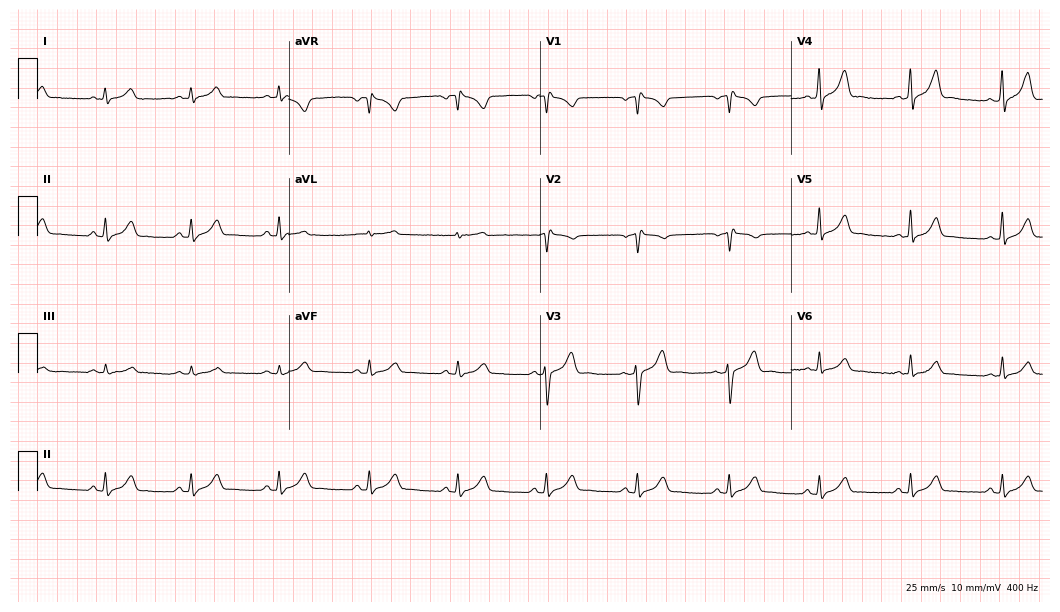
12-lead ECG from a 51-year-old man. Screened for six findings — first-degree AV block, right bundle branch block, left bundle branch block, sinus bradycardia, atrial fibrillation, sinus tachycardia — none is recorded. Findings outside these six are not listed.